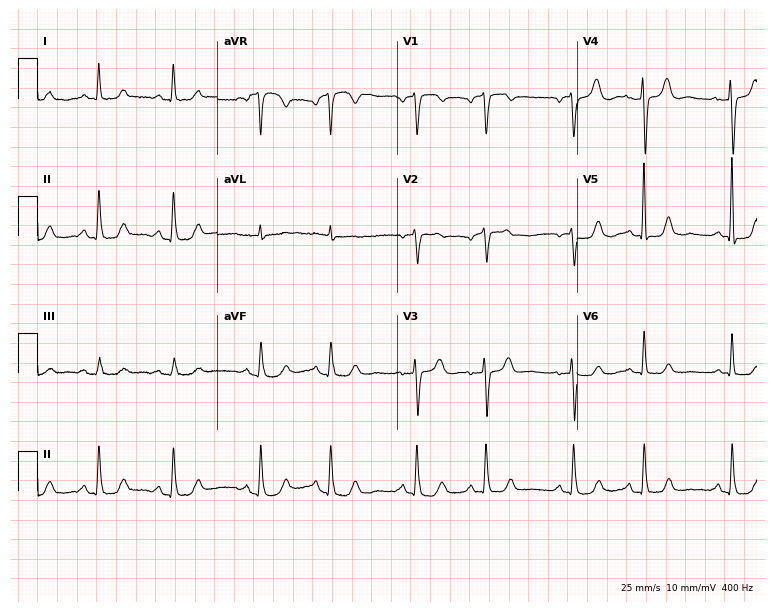
ECG — a 71-year-old woman. Screened for six findings — first-degree AV block, right bundle branch block, left bundle branch block, sinus bradycardia, atrial fibrillation, sinus tachycardia — none is recorded.